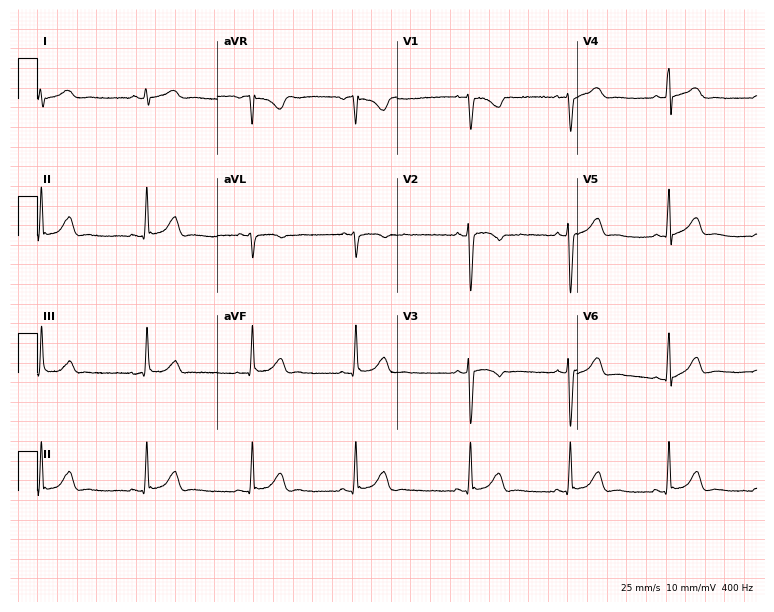
Electrocardiogram, a 21-year-old female patient. Overall reading on record: normal ECG.